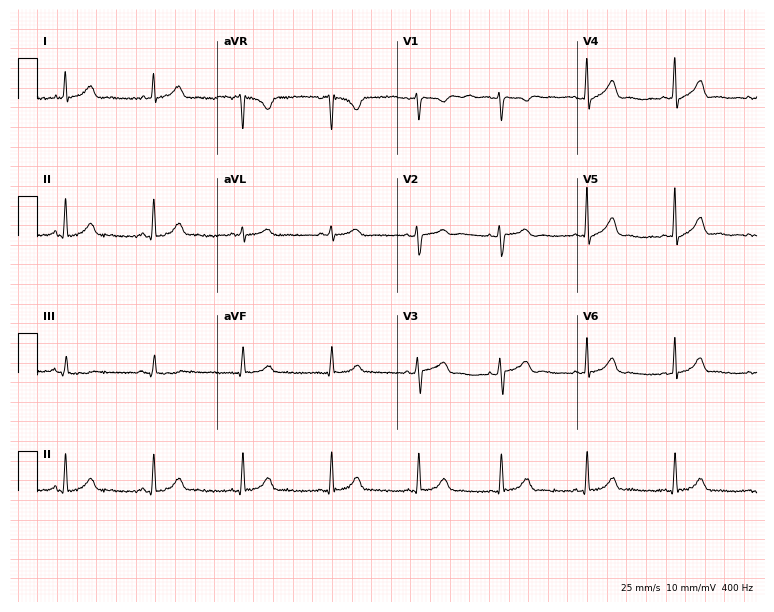
Electrocardiogram, a female, 33 years old. Of the six screened findings (first-degree AV block, right bundle branch block, left bundle branch block, sinus bradycardia, atrial fibrillation, sinus tachycardia), none is recorded.